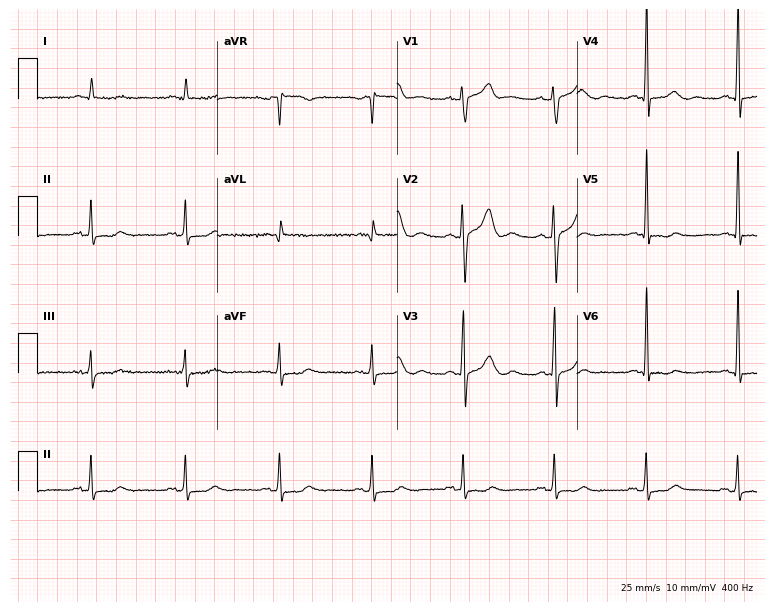
12-lead ECG (7.3-second recording at 400 Hz) from a man, 72 years old. Screened for six findings — first-degree AV block, right bundle branch block (RBBB), left bundle branch block (LBBB), sinus bradycardia, atrial fibrillation (AF), sinus tachycardia — none is recorded.